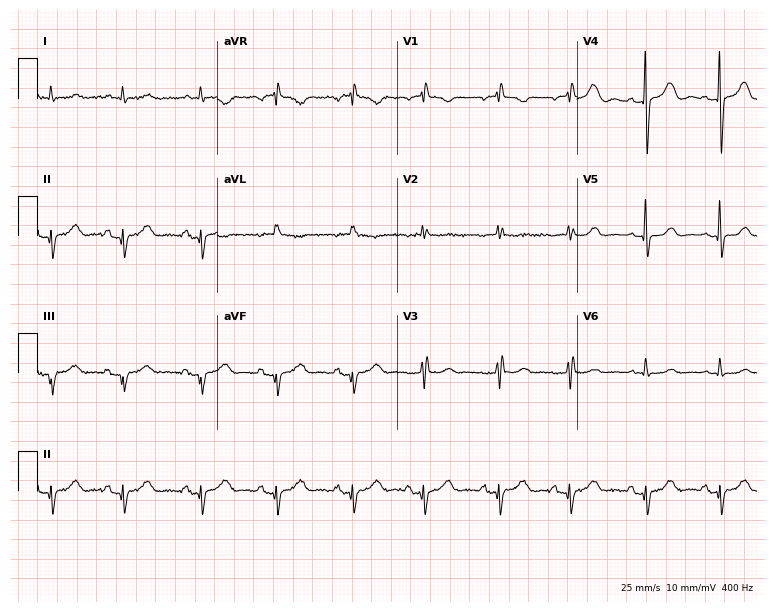
ECG — an 84-year-old female. Screened for six findings — first-degree AV block, right bundle branch block, left bundle branch block, sinus bradycardia, atrial fibrillation, sinus tachycardia — none is recorded.